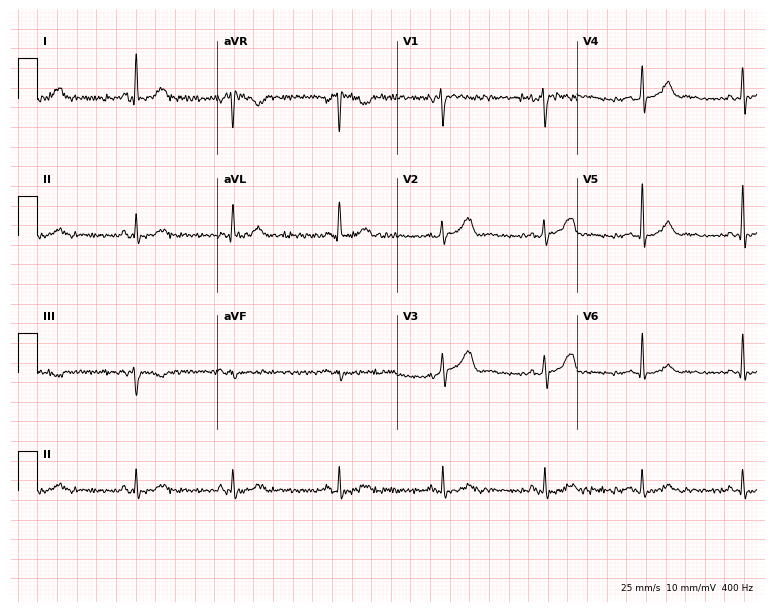
12-lead ECG from a female patient, 39 years old. No first-degree AV block, right bundle branch block (RBBB), left bundle branch block (LBBB), sinus bradycardia, atrial fibrillation (AF) or sinus tachycardia recorded for this tracing.